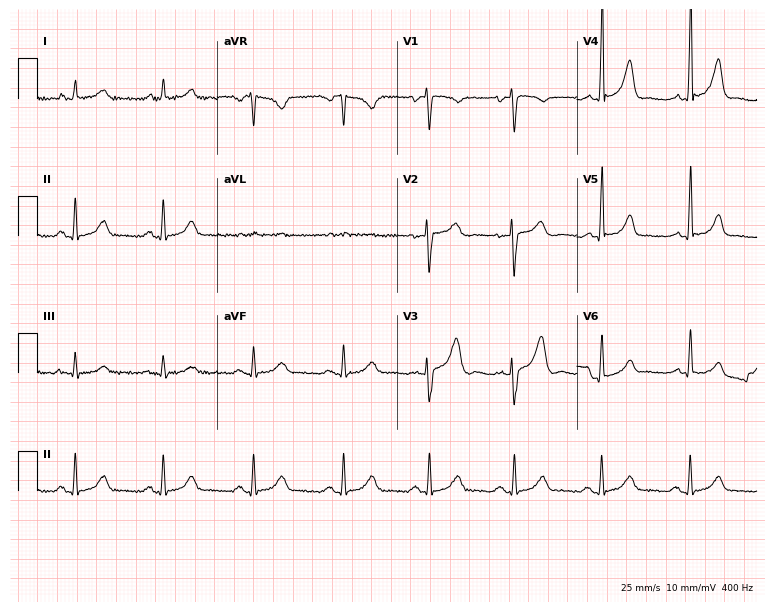
Resting 12-lead electrocardiogram. Patient: a woman, 38 years old. Read as a normal ECG.